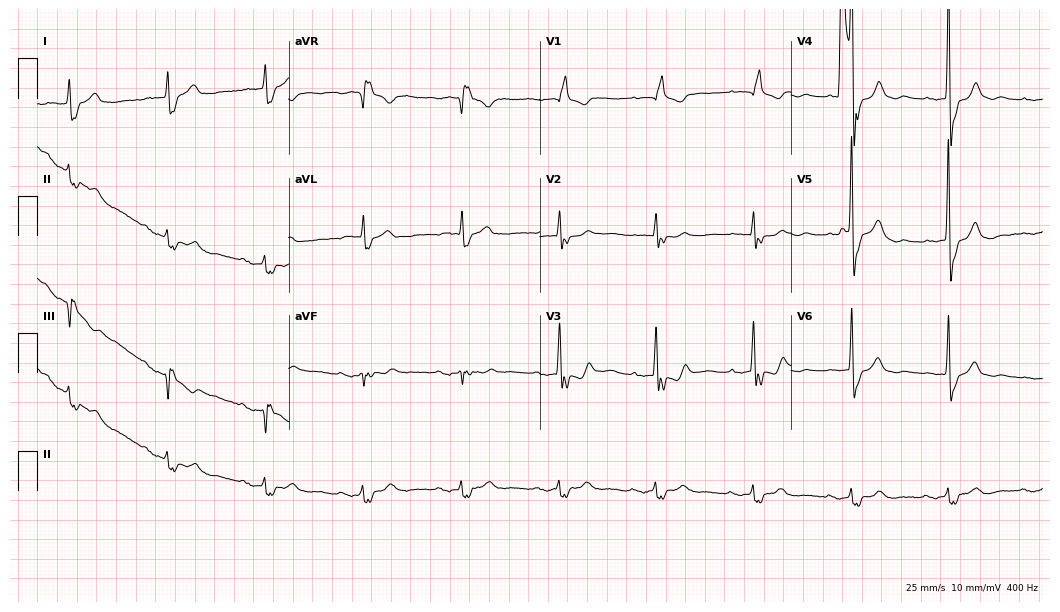
ECG — a female patient, 78 years old. Findings include first-degree AV block, right bundle branch block.